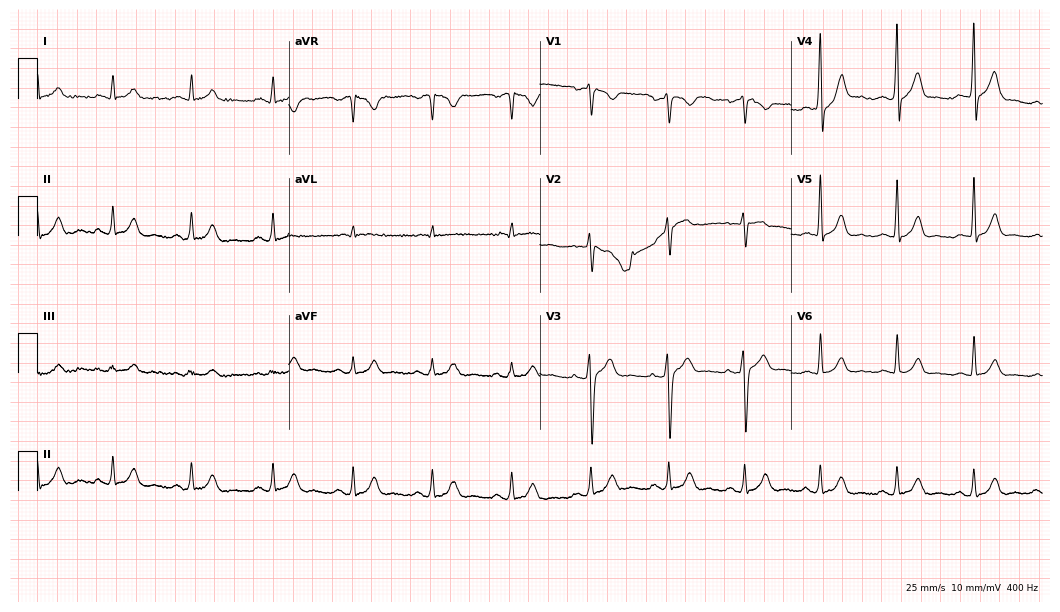
Electrocardiogram, a 39-year-old male. Overall reading on record: normal ECG.